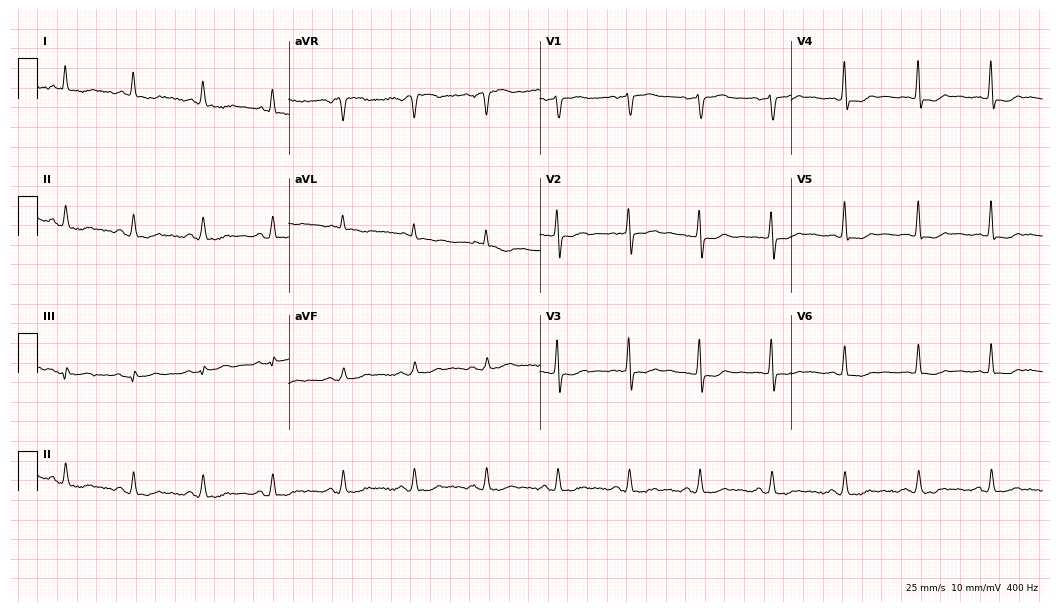
ECG — a 71-year-old man. Screened for six findings — first-degree AV block, right bundle branch block, left bundle branch block, sinus bradycardia, atrial fibrillation, sinus tachycardia — none is recorded.